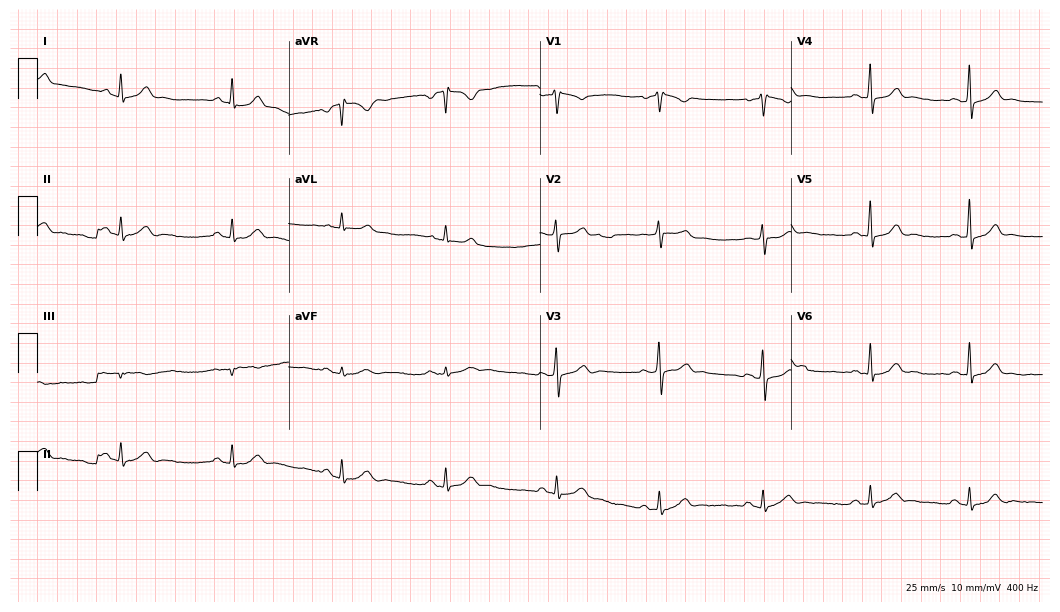
12-lead ECG from a man, 33 years old (10.2-second recording at 400 Hz). Recorded interpretation: within normal limits.